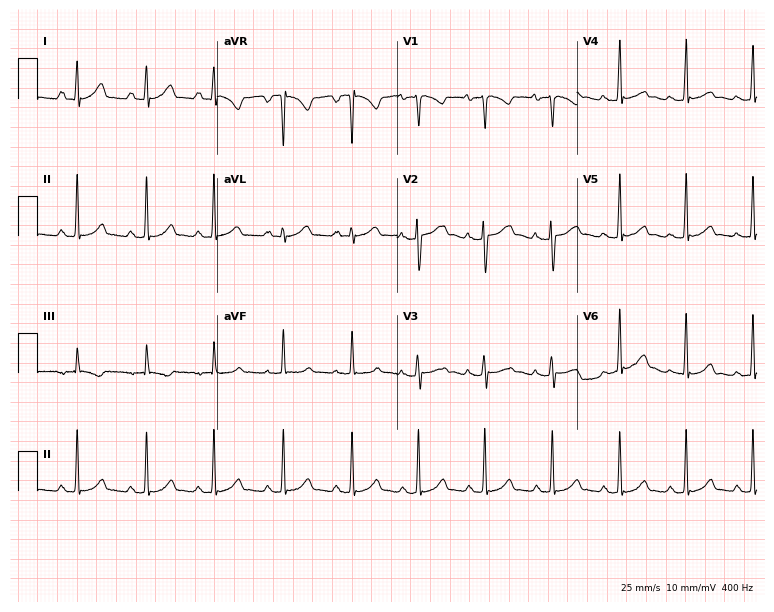
Resting 12-lead electrocardiogram. Patient: a woman, 19 years old. Read as a normal ECG.